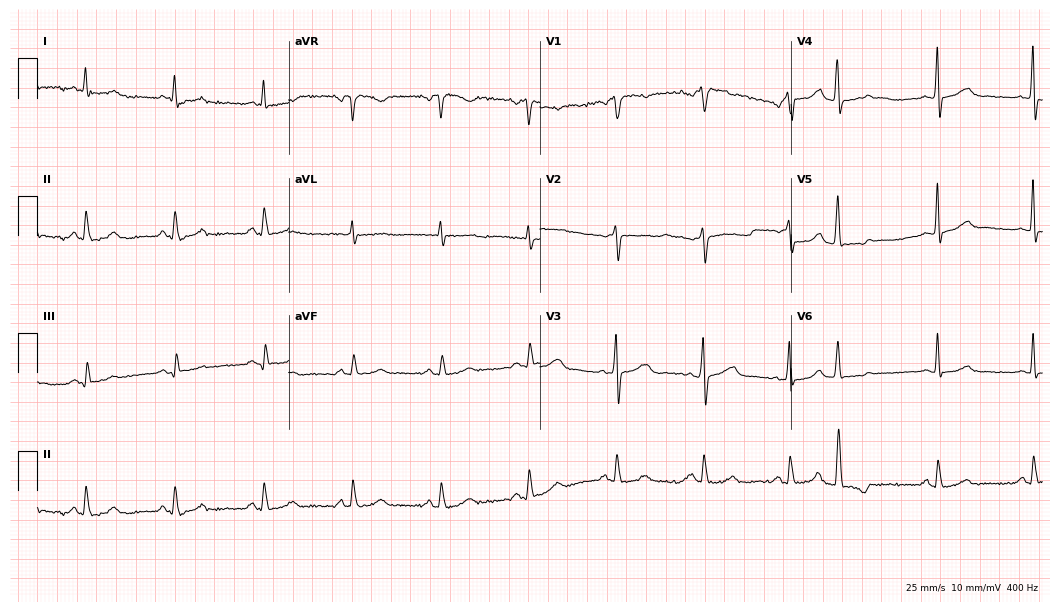
Resting 12-lead electrocardiogram (10.2-second recording at 400 Hz). Patient: a male, 76 years old. None of these six findings is recorded: first-degree AV block, right bundle branch block (RBBB), left bundle branch block (LBBB), sinus bradycardia, atrial fibrillation (AF), sinus tachycardia.